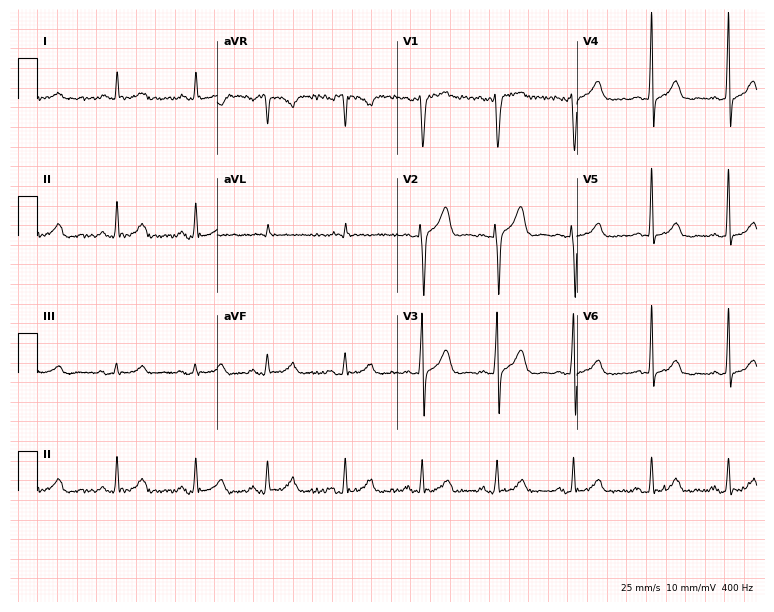
Resting 12-lead electrocardiogram. Patient: a male, 44 years old. None of these six findings is recorded: first-degree AV block, right bundle branch block, left bundle branch block, sinus bradycardia, atrial fibrillation, sinus tachycardia.